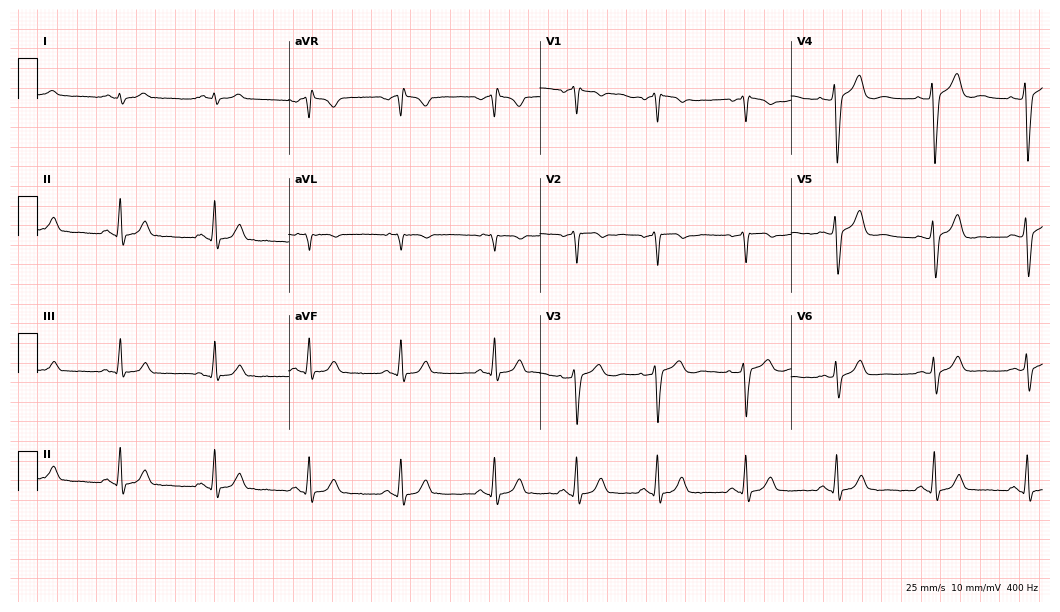
12-lead ECG from a male, 28 years old. Screened for six findings — first-degree AV block, right bundle branch block, left bundle branch block, sinus bradycardia, atrial fibrillation, sinus tachycardia — none is recorded.